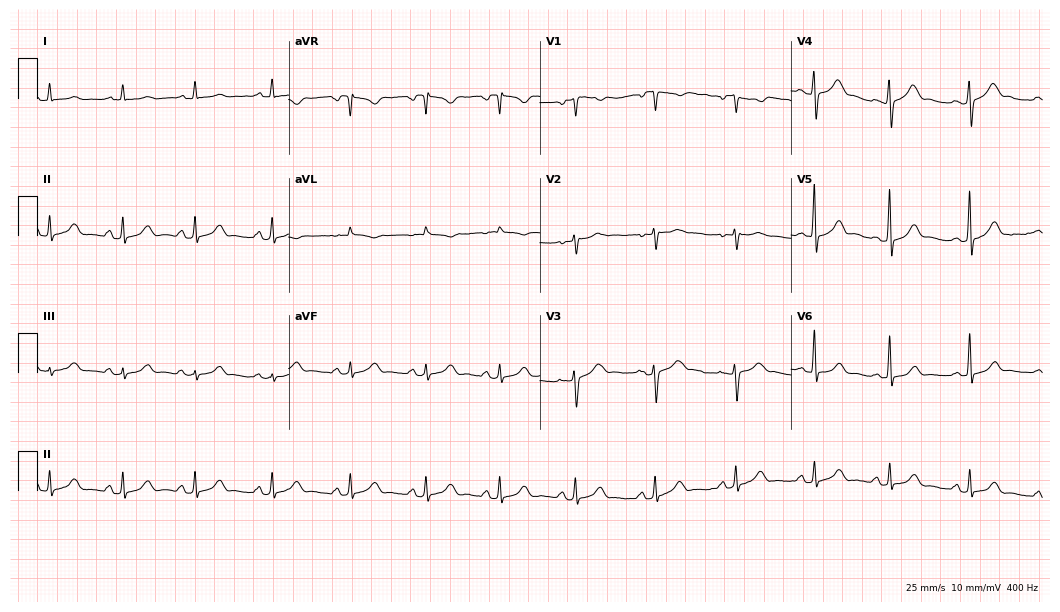
12-lead ECG from a female patient, 30 years old. Labelled as a normal ECG.